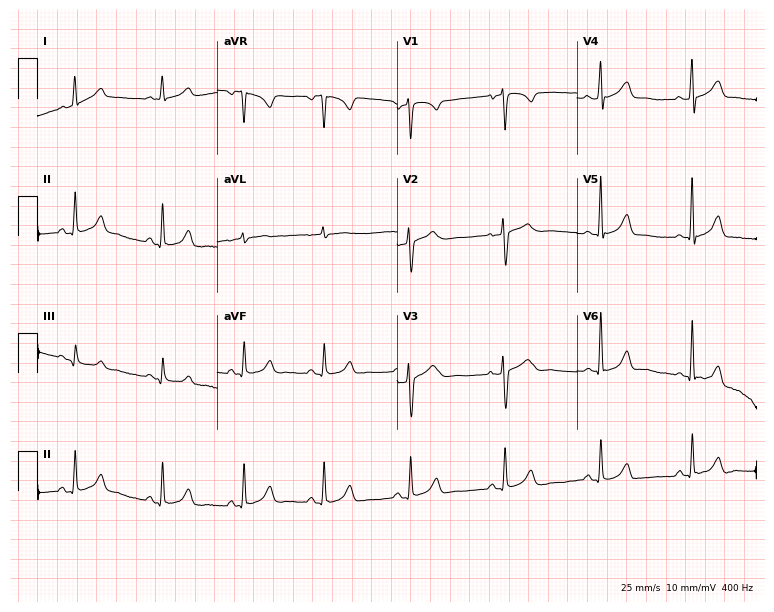
Standard 12-lead ECG recorded from a female, 38 years old. None of these six findings is recorded: first-degree AV block, right bundle branch block, left bundle branch block, sinus bradycardia, atrial fibrillation, sinus tachycardia.